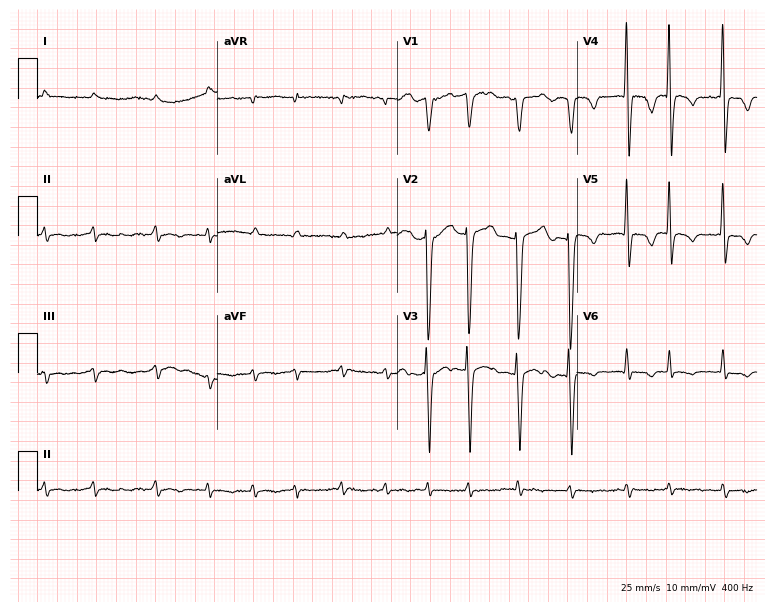
12-lead ECG (7.3-second recording at 400 Hz) from a 72-year-old male patient. Findings include atrial fibrillation.